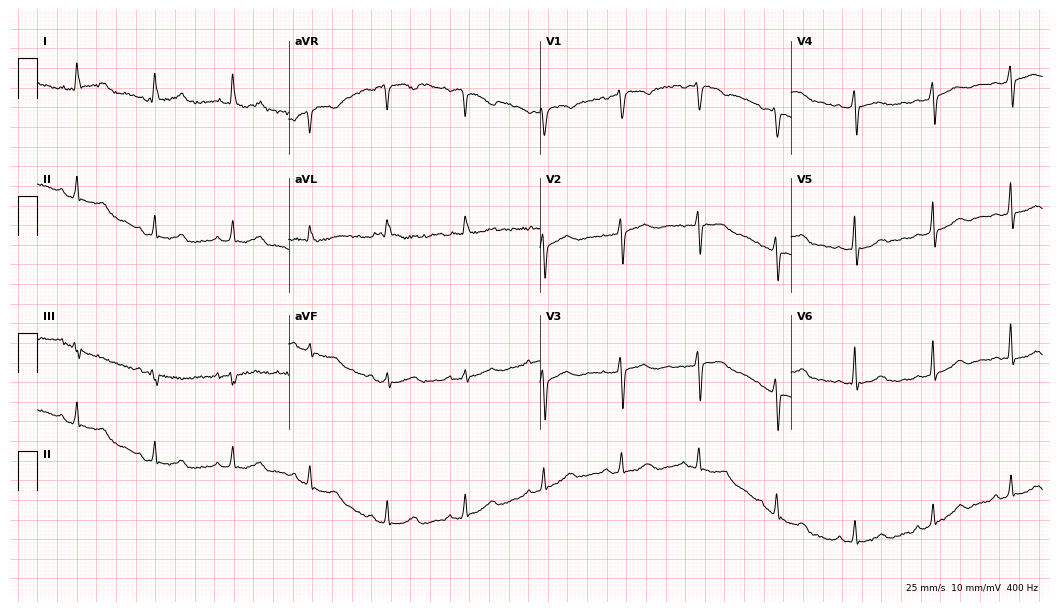
12-lead ECG from a 57-year-old female. Recorded interpretation: within normal limits.